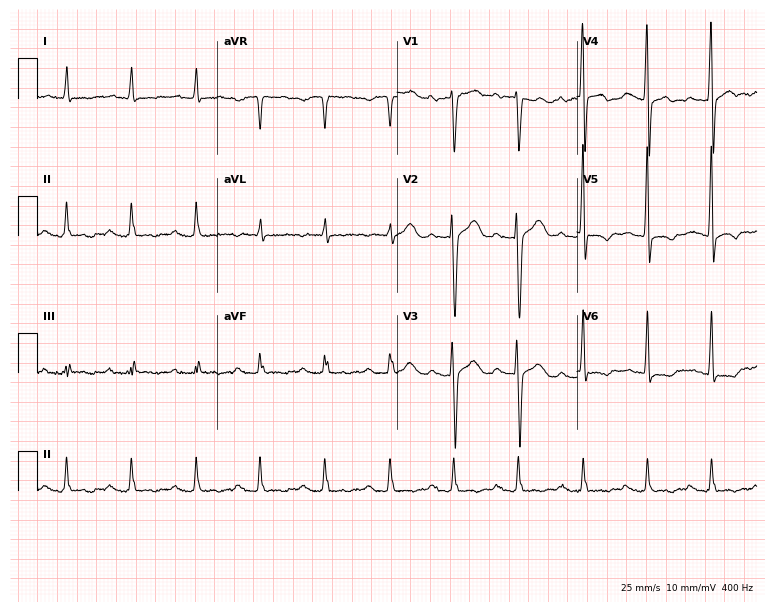
Resting 12-lead electrocardiogram (7.3-second recording at 400 Hz). Patient: a 73-year-old male. The tracing shows first-degree AV block.